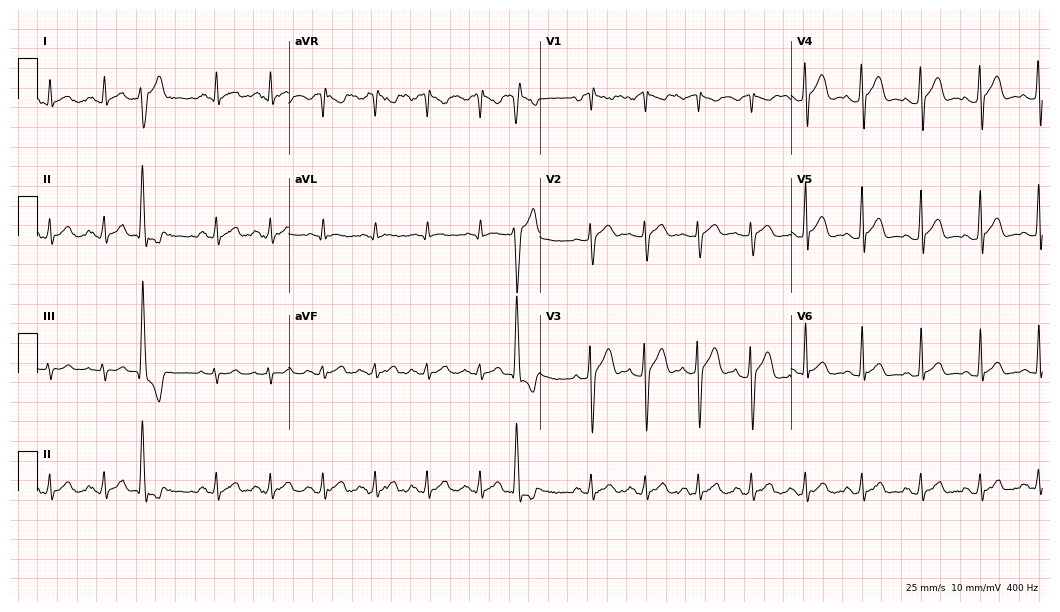
12-lead ECG (10.2-second recording at 400 Hz) from a male patient, 25 years old. Findings include sinus tachycardia (a sinus rate of 100 beats per minute or more).